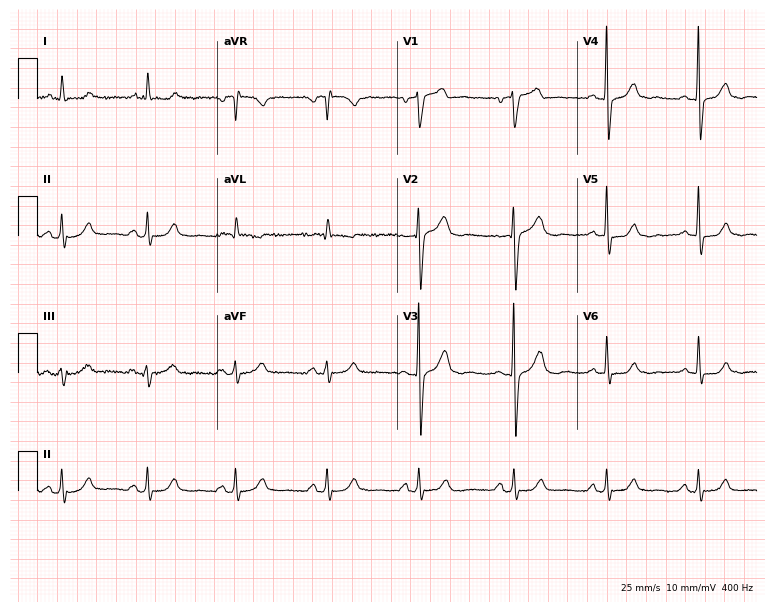
Standard 12-lead ECG recorded from a male patient, 78 years old. Read as a normal ECG.